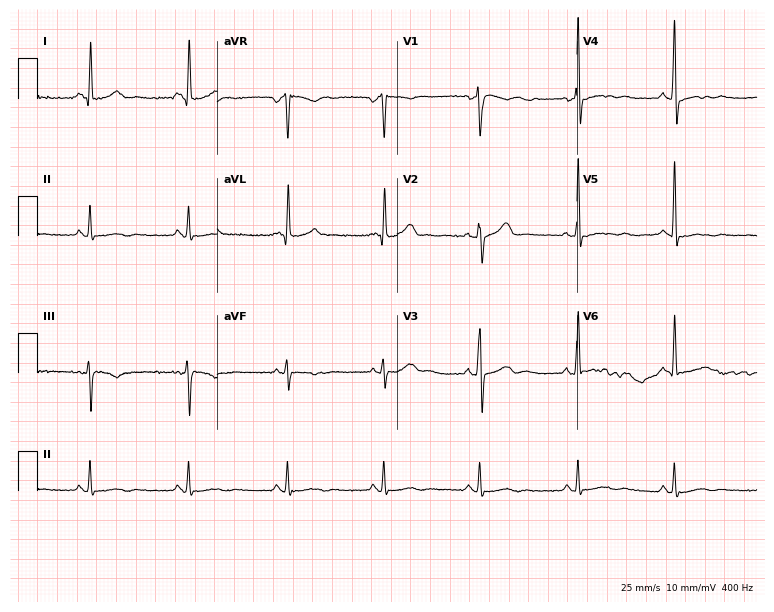
12-lead ECG (7.3-second recording at 400 Hz) from a 55-year-old male patient. Screened for six findings — first-degree AV block, right bundle branch block, left bundle branch block, sinus bradycardia, atrial fibrillation, sinus tachycardia — none is recorded. Other findings, if any, are not listed.